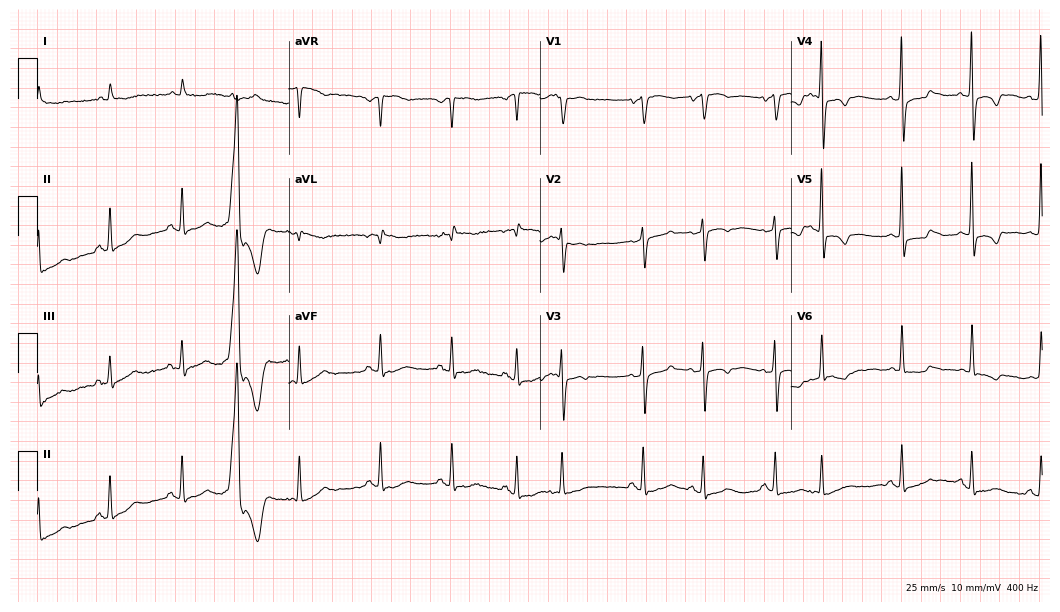
Resting 12-lead electrocardiogram. Patient: a male, 72 years old. None of these six findings is recorded: first-degree AV block, right bundle branch block, left bundle branch block, sinus bradycardia, atrial fibrillation, sinus tachycardia.